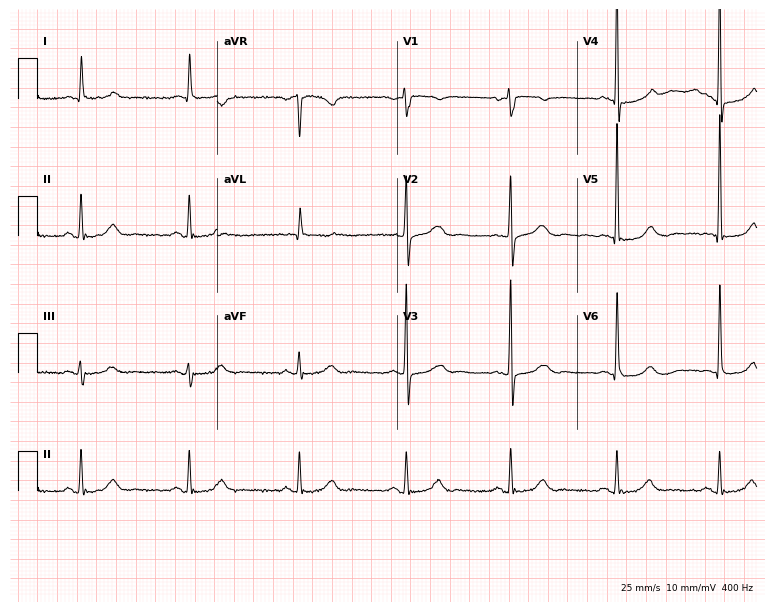
Standard 12-lead ECG recorded from a 69-year-old female patient (7.3-second recording at 400 Hz). None of these six findings is recorded: first-degree AV block, right bundle branch block, left bundle branch block, sinus bradycardia, atrial fibrillation, sinus tachycardia.